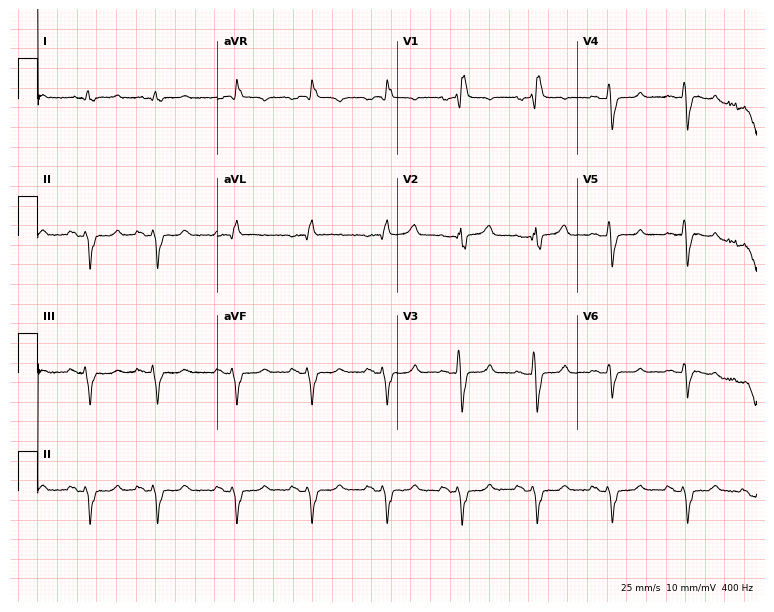
Standard 12-lead ECG recorded from a 61-year-old male (7.3-second recording at 400 Hz). The tracing shows right bundle branch block (RBBB).